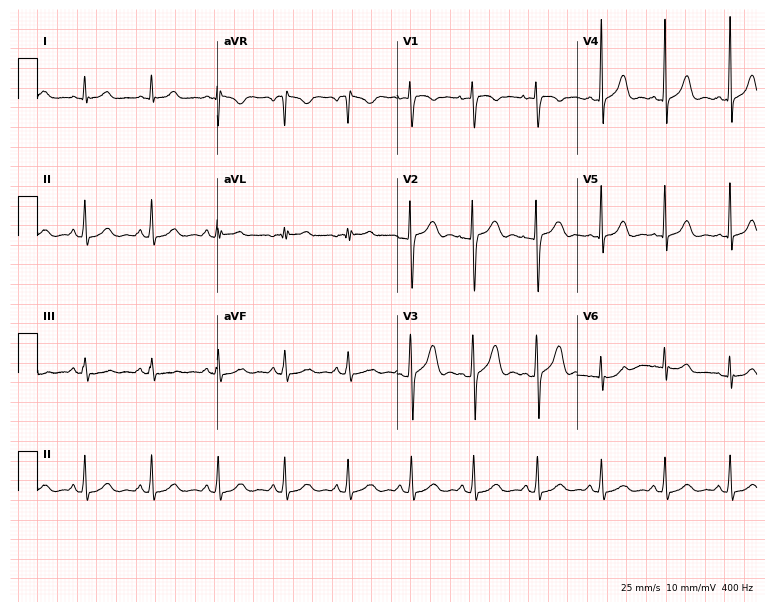
ECG (7.3-second recording at 400 Hz) — a 23-year-old female. Labelled as a normal ECG.